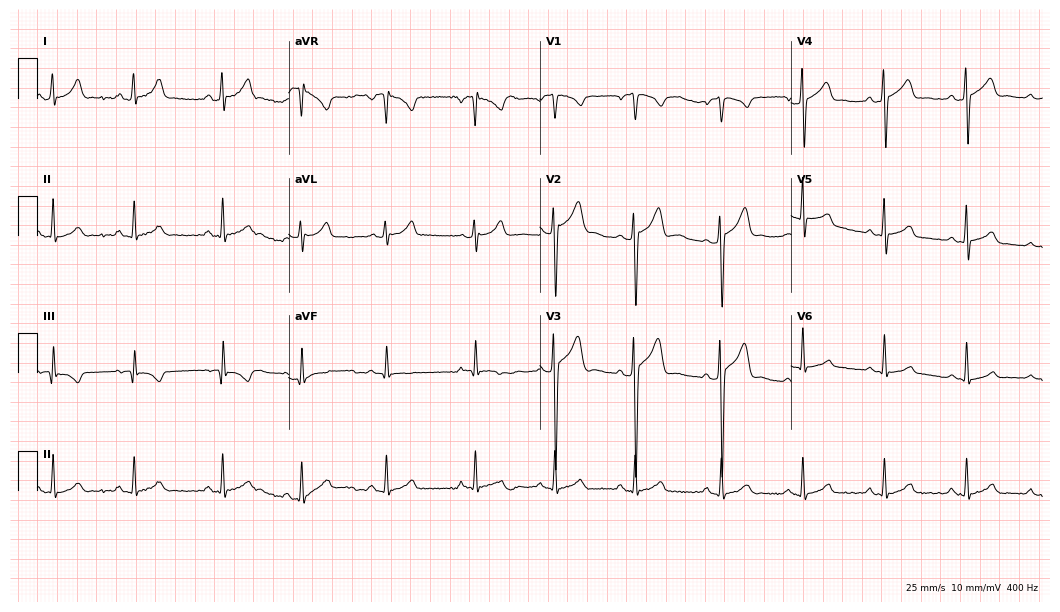
ECG (10.2-second recording at 400 Hz) — a 25-year-old man. Screened for six findings — first-degree AV block, right bundle branch block (RBBB), left bundle branch block (LBBB), sinus bradycardia, atrial fibrillation (AF), sinus tachycardia — none is recorded. Only these six findings were labelled.